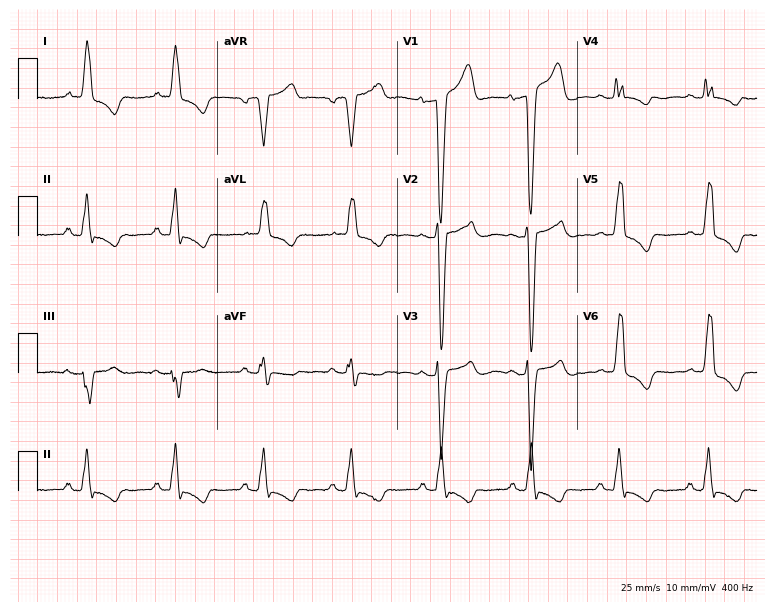
Resting 12-lead electrocardiogram. Patient: an 84-year-old man. The tracing shows left bundle branch block (LBBB).